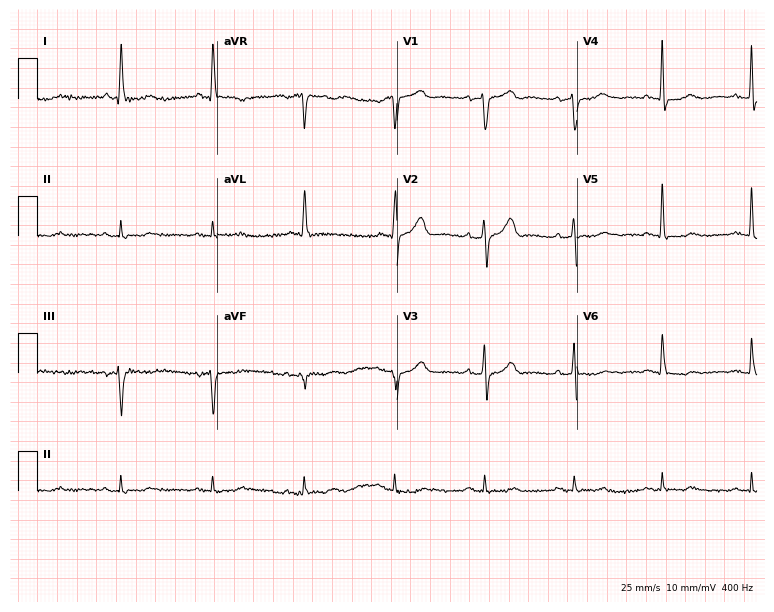
ECG — a 71-year-old female. Screened for six findings — first-degree AV block, right bundle branch block, left bundle branch block, sinus bradycardia, atrial fibrillation, sinus tachycardia — none is recorded. Other findings, if any, are not listed.